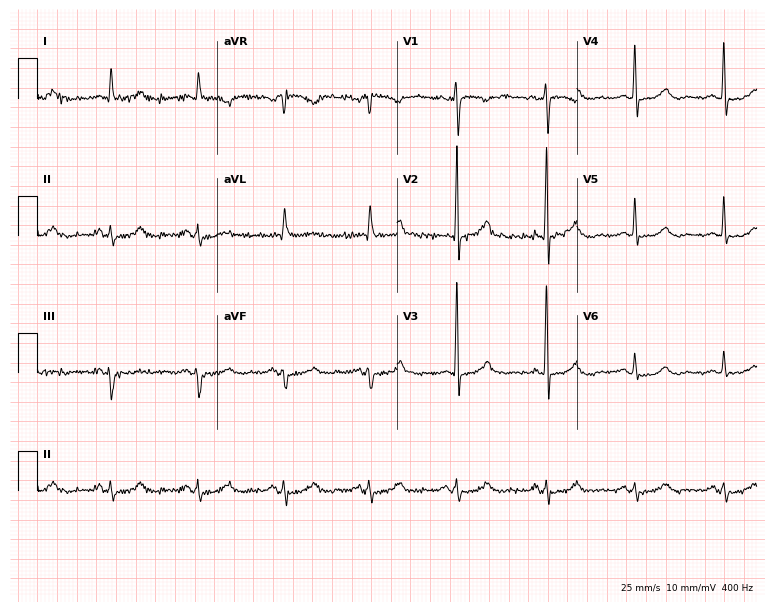
12-lead ECG from a male patient, 75 years old. Screened for six findings — first-degree AV block, right bundle branch block, left bundle branch block, sinus bradycardia, atrial fibrillation, sinus tachycardia — none is recorded.